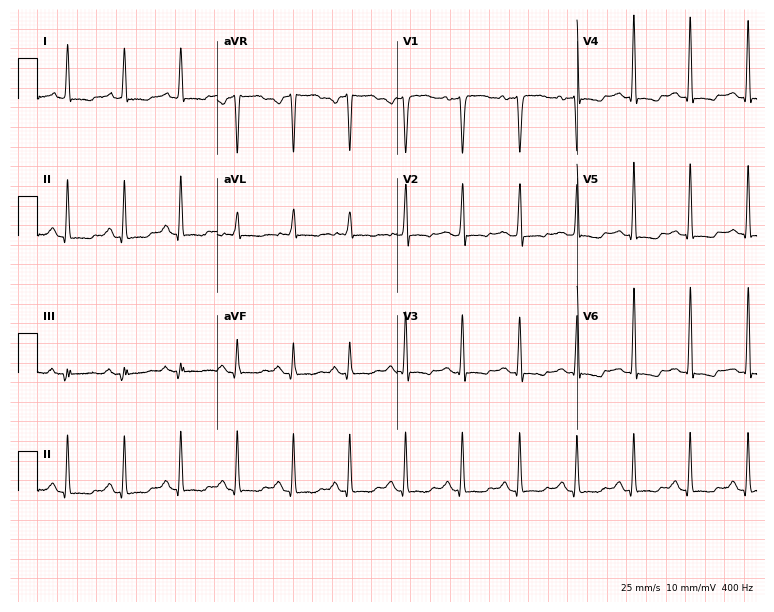
12-lead ECG from a woman, 44 years old (7.3-second recording at 400 Hz). Shows sinus tachycardia (a sinus rate of 100 beats per minute or more).